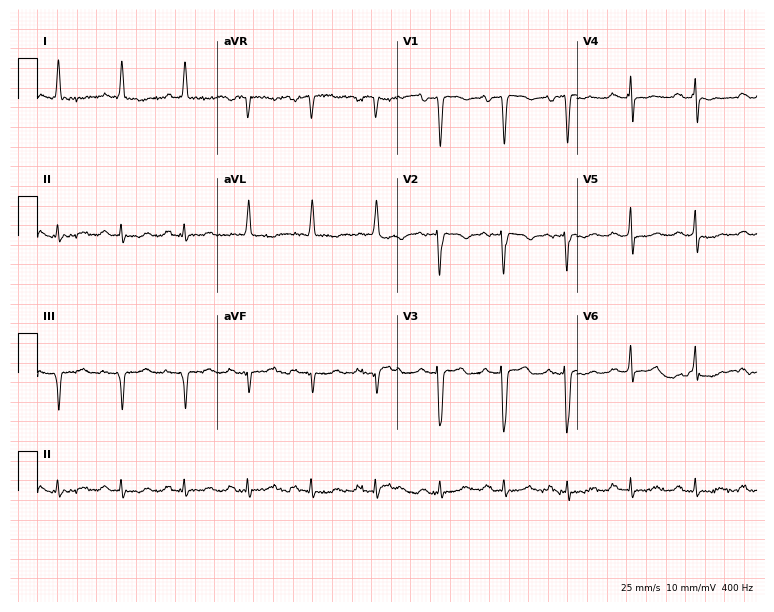
12-lead ECG from a 69-year-old male. No first-degree AV block, right bundle branch block (RBBB), left bundle branch block (LBBB), sinus bradycardia, atrial fibrillation (AF) or sinus tachycardia recorded for this tracing.